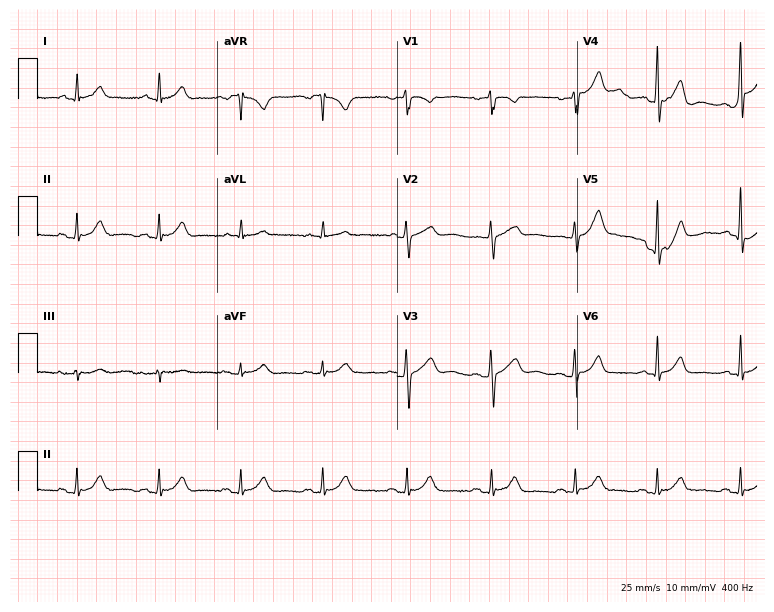
ECG (7.3-second recording at 400 Hz) — a female patient, 68 years old. Screened for six findings — first-degree AV block, right bundle branch block, left bundle branch block, sinus bradycardia, atrial fibrillation, sinus tachycardia — none is recorded.